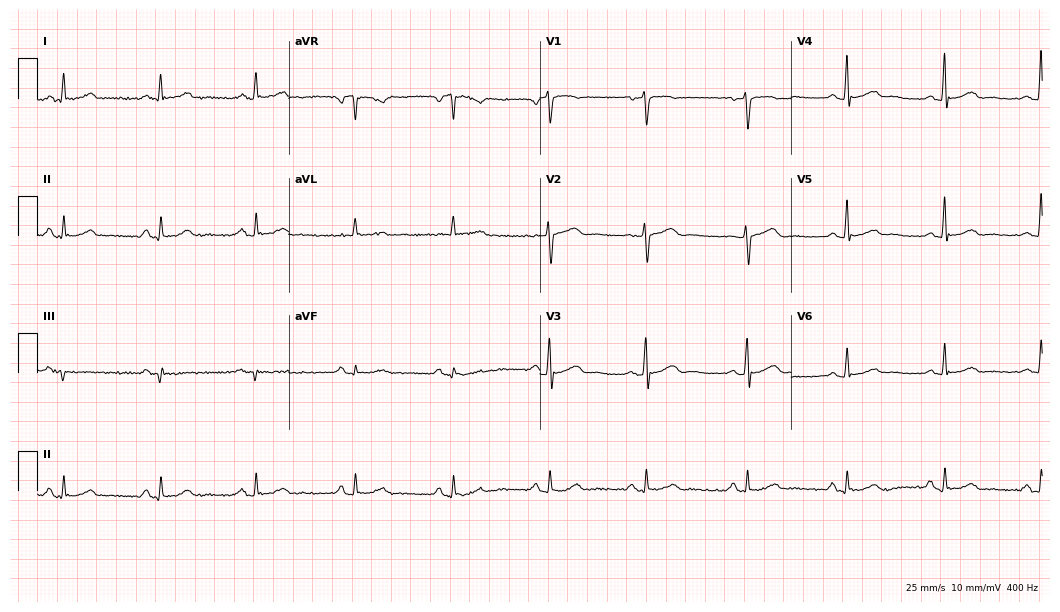
Resting 12-lead electrocardiogram (10.2-second recording at 400 Hz). Patient: a 64-year-old female. None of these six findings is recorded: first-degree AV block, right bundle branch block, left bundle branch block, sinus bradycardia, atrial fibrillation, sinus tachycardia.